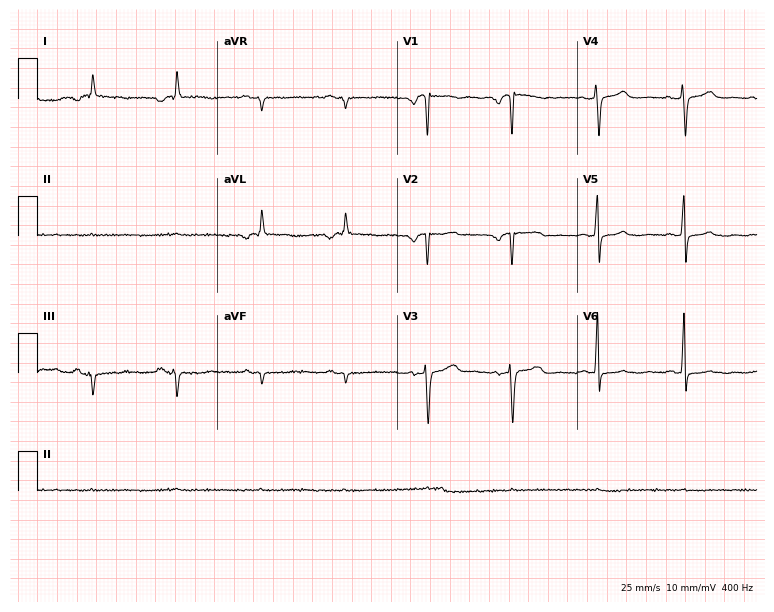
12-lead ECG from a female patient, 72 years old. No first-degree AV block, right bundle branch block, left bundle branch block, sinus bradycardia, atrial fibrillation or sinus tachycardia recorded for this tracing. Findings outside these six are not listed.